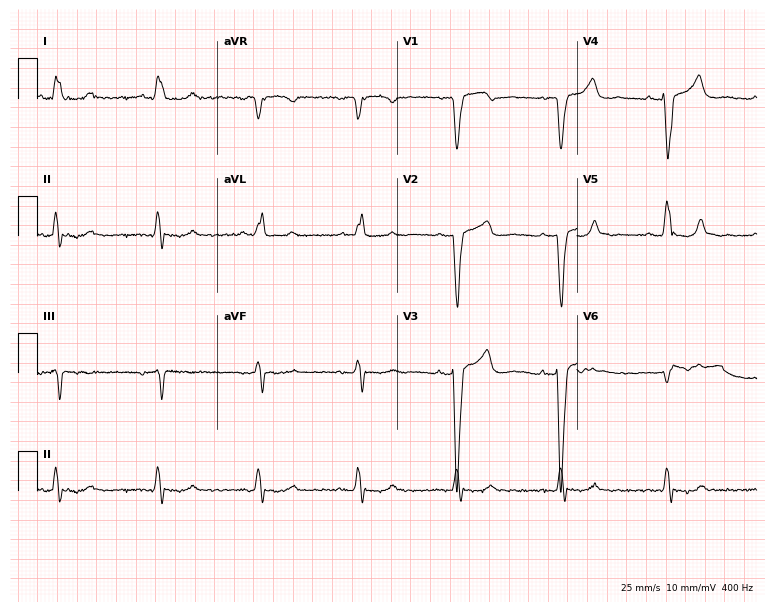
12-lead ECG from a woman, 77 years old. Shows left bundle branch block (LBBB).